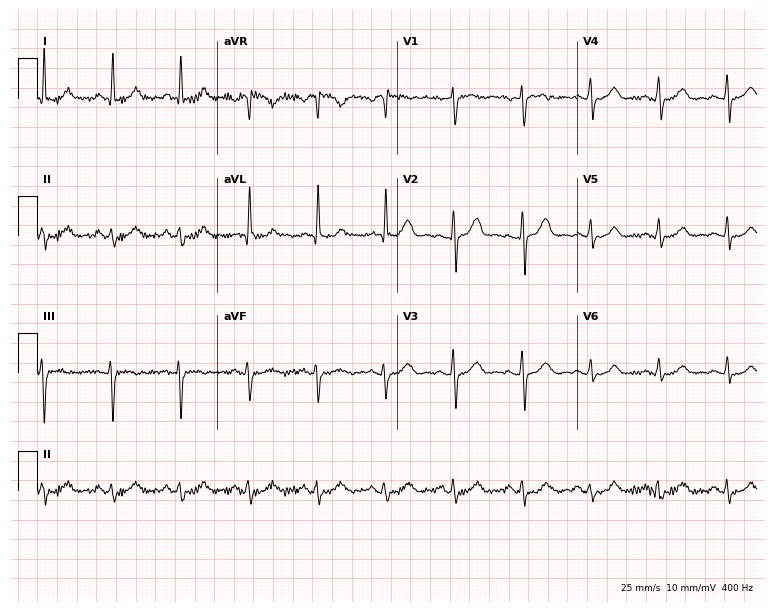
12-lead ECG from a 51-year-old female patient (7.3-second recording at 400 Hz). No first-degree AV block, right bundle branch block, left bundle branch block, sinus bradycardia, atrial fibrillation or sinus tachycardia recorded for this tracing.